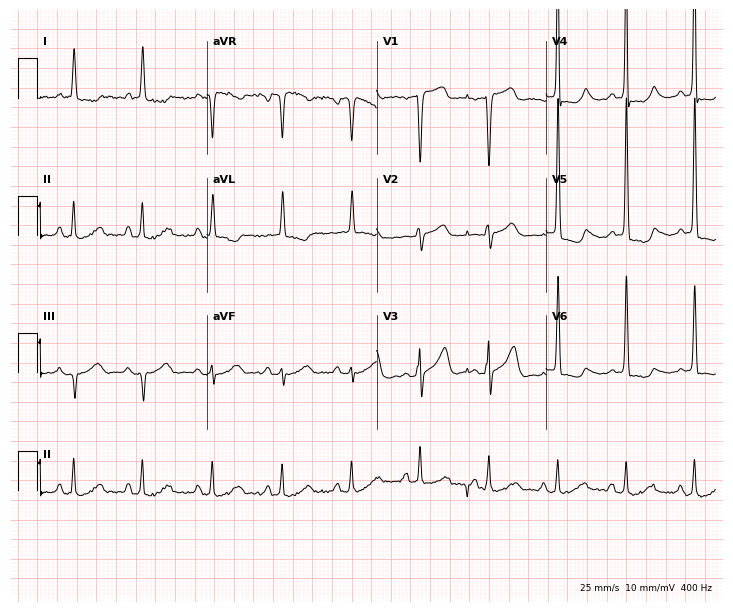
Resting 12-lead electrocardiogram (6.9-second recording at 400 Hz). Patient: a male, 55 years old. None of these six findings is recorded: first-degree AV block, right bundle branch block, left bundle branch block, sinus bradycardia, atrial fibrillation, sinus tachycardia.